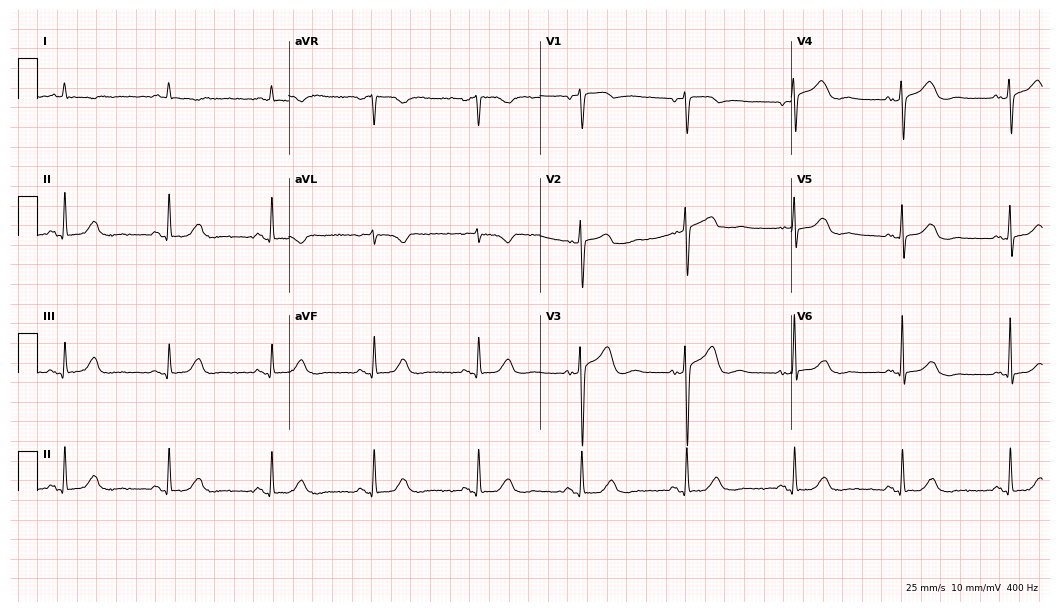
Resting 12-lead electrocardiogram. Patient: a female, 85 years old. None of these six findings is recorded: first-degree AV block, right bundle branch block, left bundle branch block, sinus bradycardia, atrial fibrillation, sinus tachycardia.